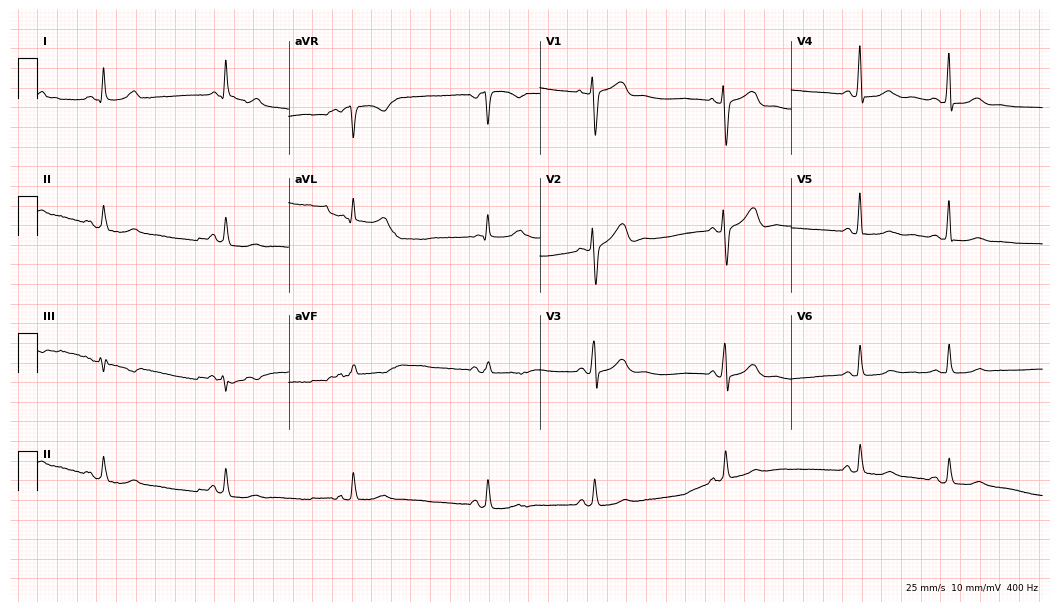
12-lead ECG from a 66-year-old woman (10.2-second recording at 400 Hz). No first-degree AV block, right bundle branch block, left bundle branch block, sinus bradycardia, atrial fibrillation or sinus tachycardia recorded for this tracing. Findings outside these six are not listed.